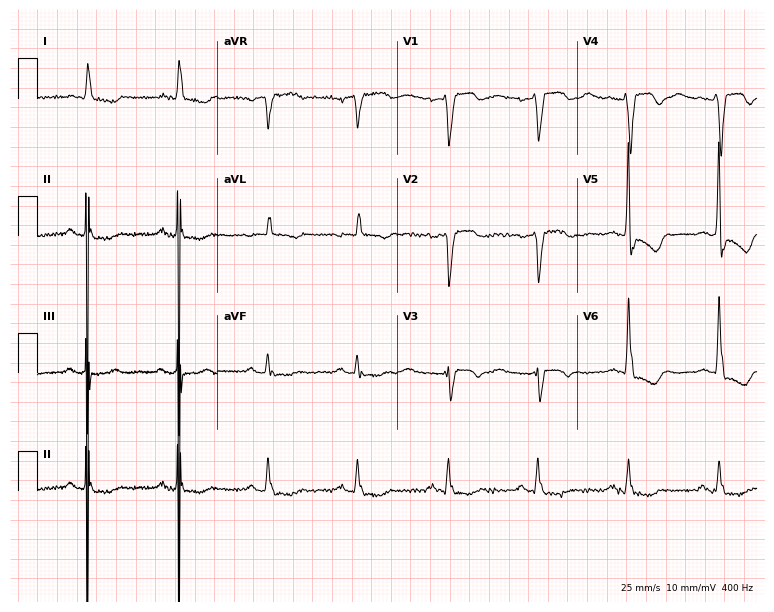
Standard 12-lead ECG recorded from a 72-year-old female (7.3-second recording at 400 Hz). None of these six findings is recorded: first-degree AV block, right bundle branch block, left bundle branch block, sinus bradycardia, atrial fibrillation, sinus tachycardia.